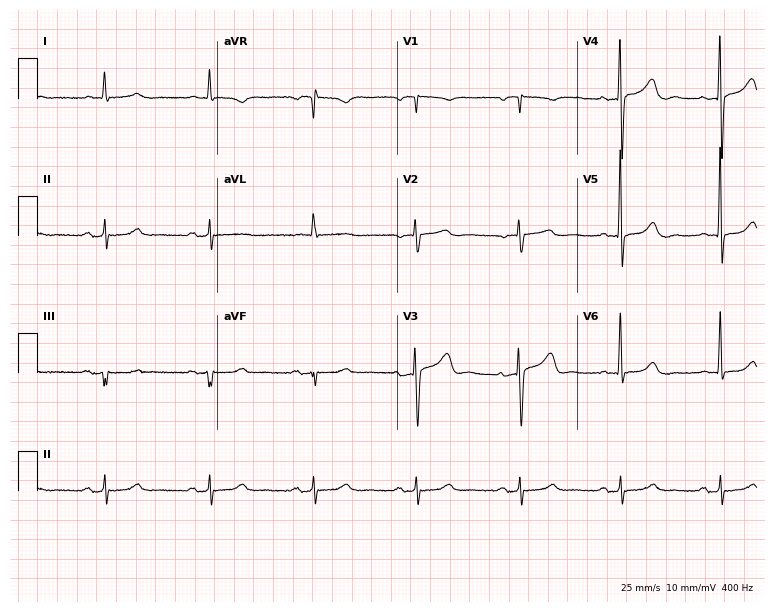
Resting 12-lead electrocardiogram (7.3-second recording at 400 Hz). Patient: a 68-year-old female. None of these six findings is recorded: first-degree AV block, right bundle branch block, left bundle branch block, sinus bradycardia, atrial fibrillation, sinus tachycardia. Other findings, if any, are not listed.